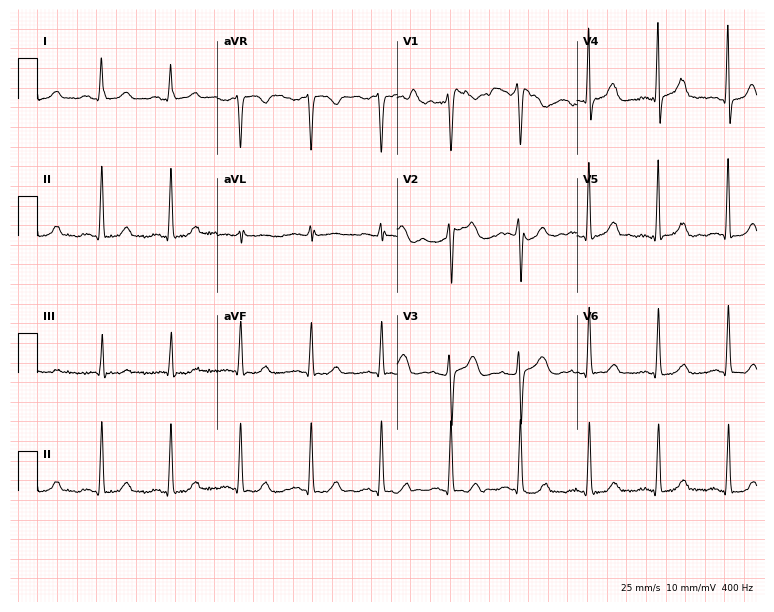
12-lead ECG (7.3-second recording at 400 Hz) from a woman, 48 years old. Labelled as a normal ECG.